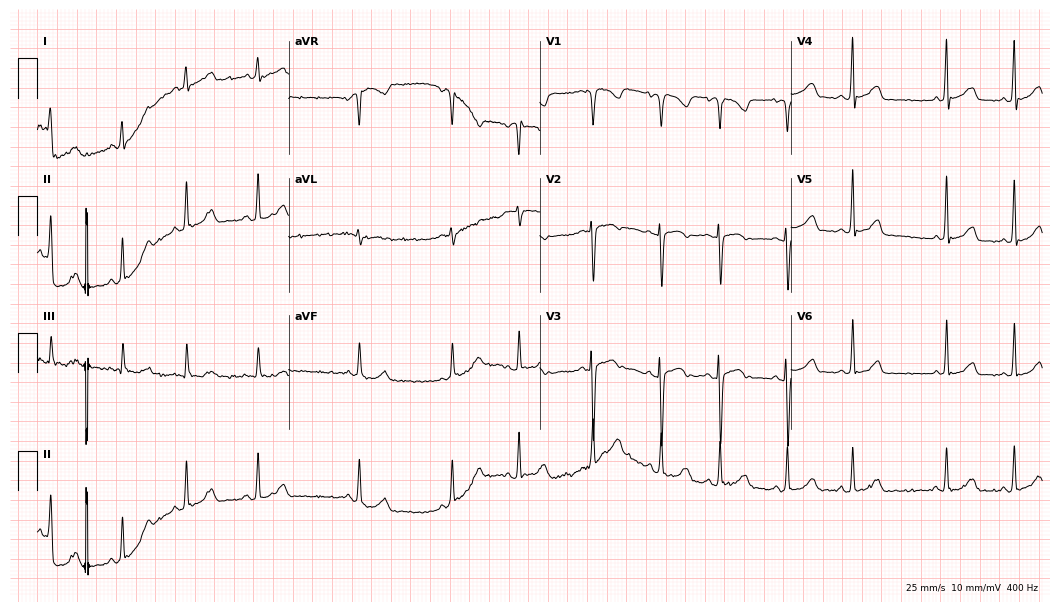
ECG (10.2-second recording at 400 Hz) — a 58-year-old female. Labelled as a normal ECG.